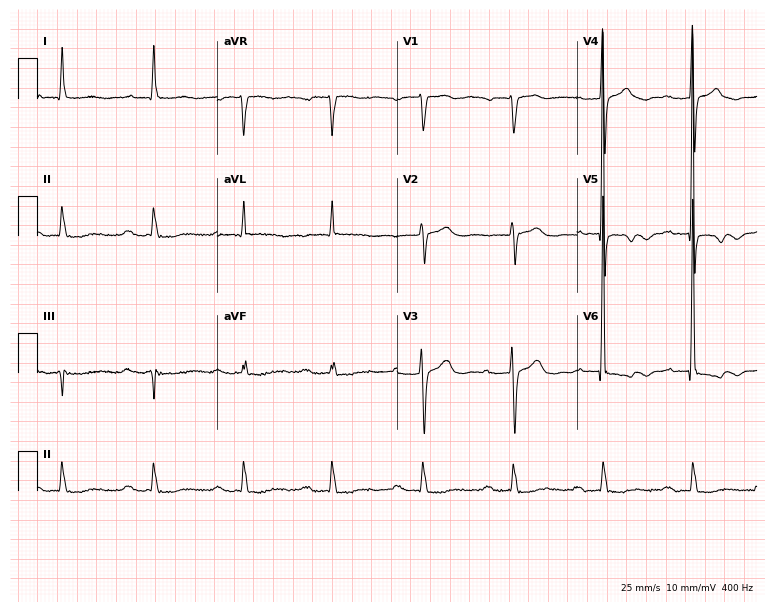
Standard 12-lead ECG recorded from an 81-year-old male. None of these six findings is recorded: first-degree AV block, right bundle branch block, left bundle branch block, sinus bradycardia, atrial fibrillation, sinus tachycardia. Other findings, if any, are not listed.